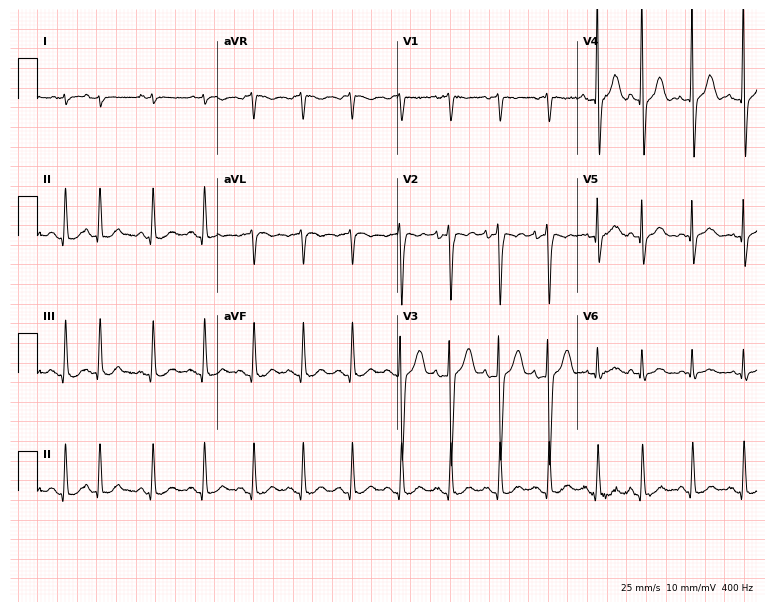
12-lead ECG (7.3-second recording at 400 Hz) from a 75-year-old man. Findings include sinus tachycardia (a sinus rate of 100 beats per minute or more).